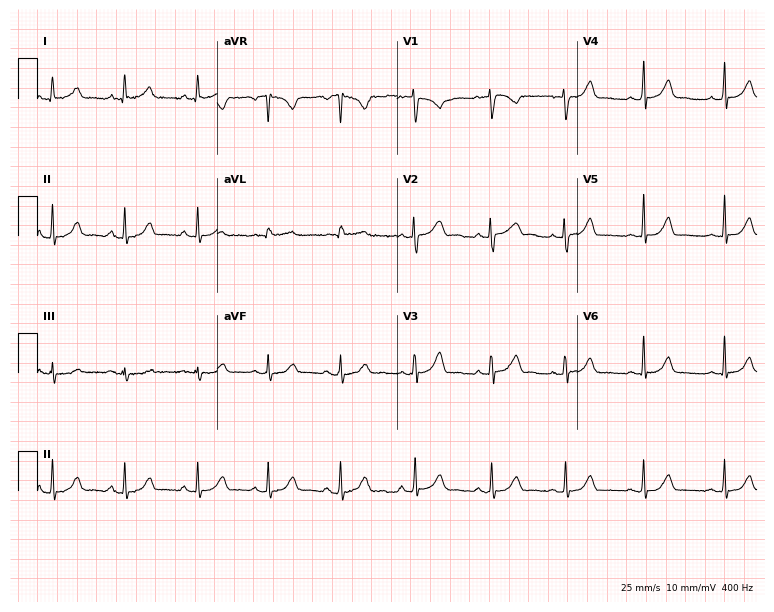
Electrocardiogram (7.3-second recording at 400 Hz), a female patient, 42 years old. Overall reading on record: normal ECG.